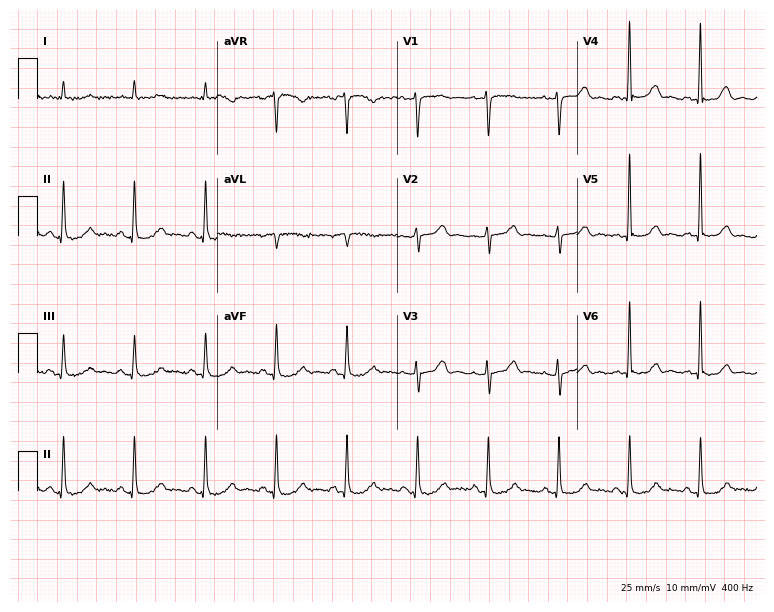
ECG (7.3-second recording at 400 Hz) — an 85-year-old male. Screened for six findings — first-degree AV block, right bundle branch block, left bundle branch block, sinus bradycardia, atrial fibrillation, sinus tachycardia — none is recorded. Findings outside these six are not listed.